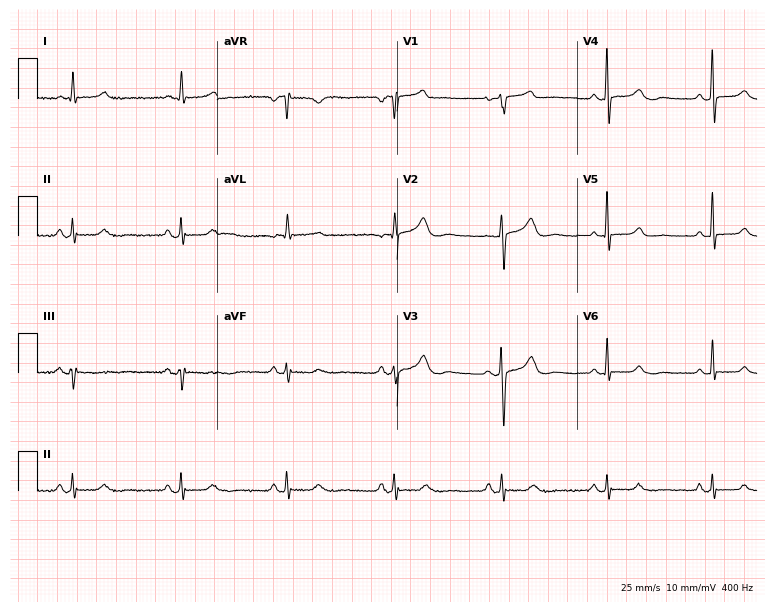
12-lead ECG from a female, 61 years old (7.3-second recording at 400 Hz). Recorded interpretation: within normal limits.